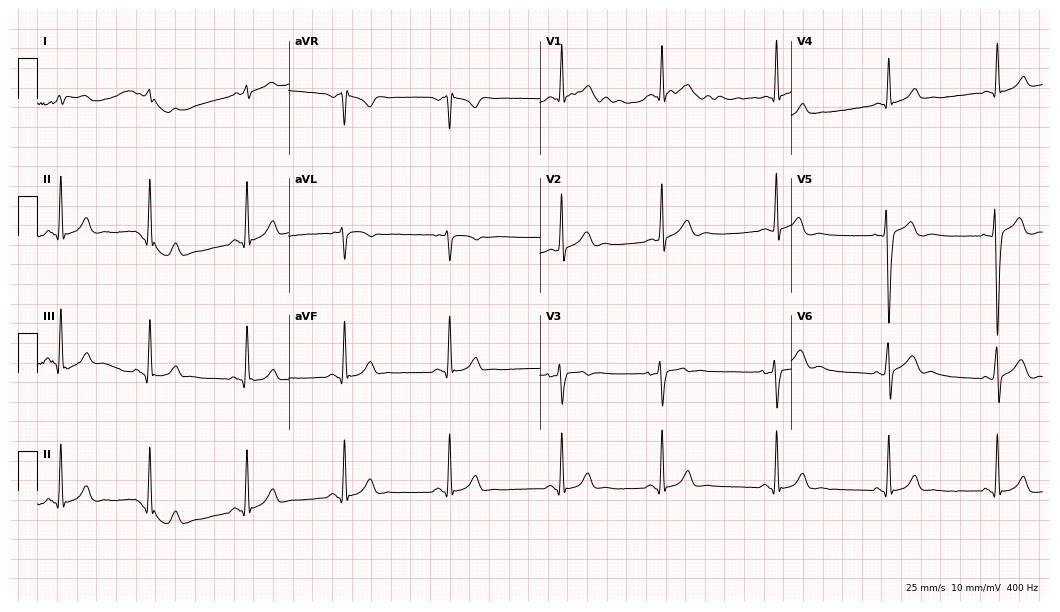
12-lead ECG from a 25-year-old male. Labelled as a normal ECG.